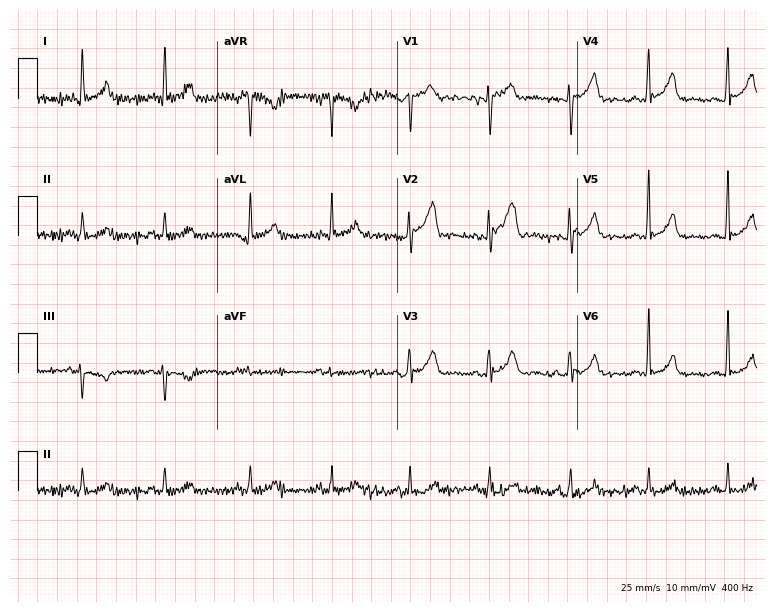
Electrocardiogram (7.3-second recording at 400 Hz), a 43-year-old man. Overall reading on record: normal ECG.